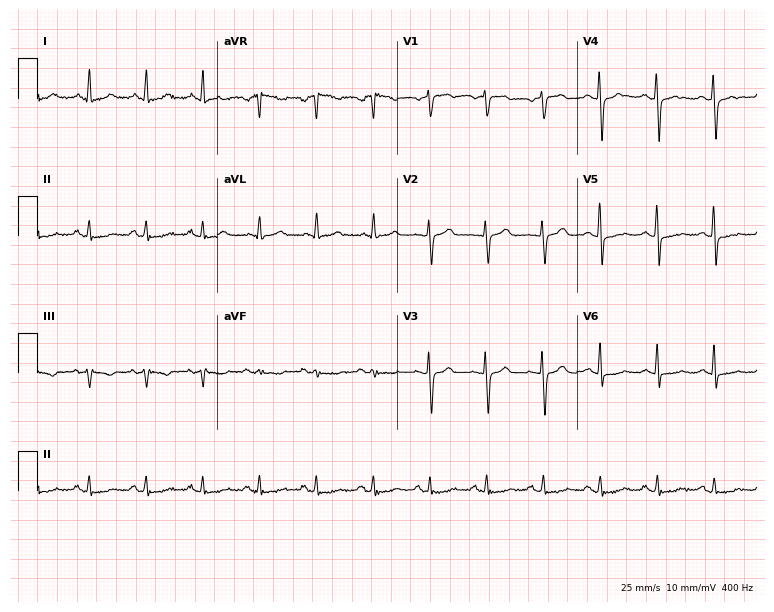
Standard 12-lead ECG recorded from a female, 66 years old. None of these six findings is recorded: first-degree AV block, right bundle branch block, left bundle branch block, sinus bradycardia, atrial fibrillation, sinus tachycardia.